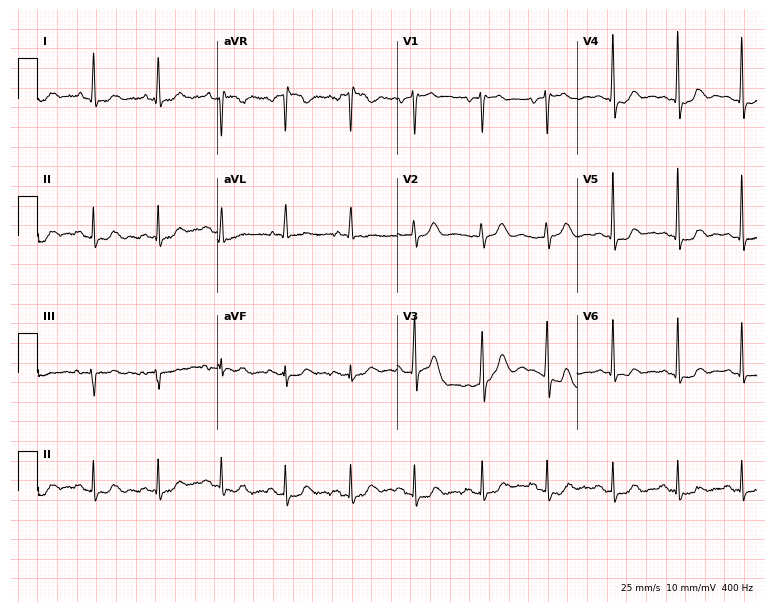
ECG — a 67-year-old woman. Screened for six findings — first-degree AV block, right bundle branch block, left bundle branch block, sinus bradycardia, atrial fibrillation, sinus tachycardia — none is recorded. Other findings, if any, are not listed.